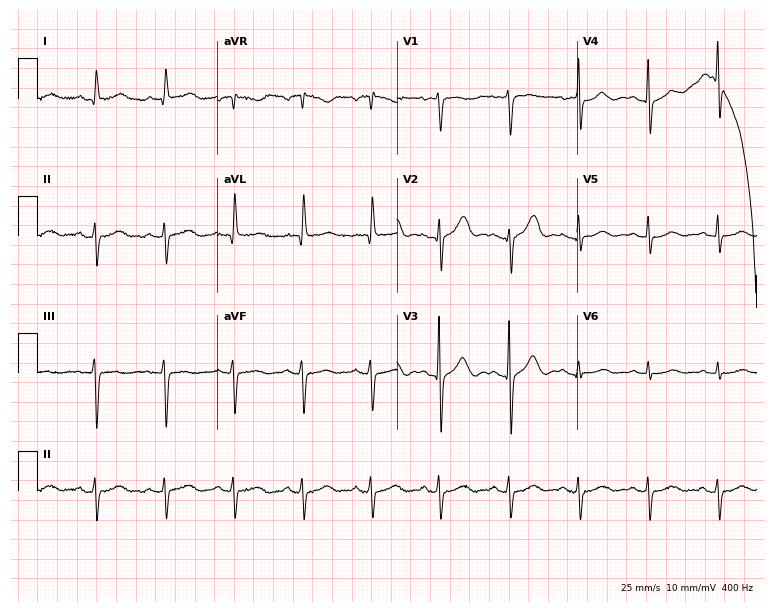
12-lead ECG from a 73-year-old female patient. Recorded interpretation: within normal limits.